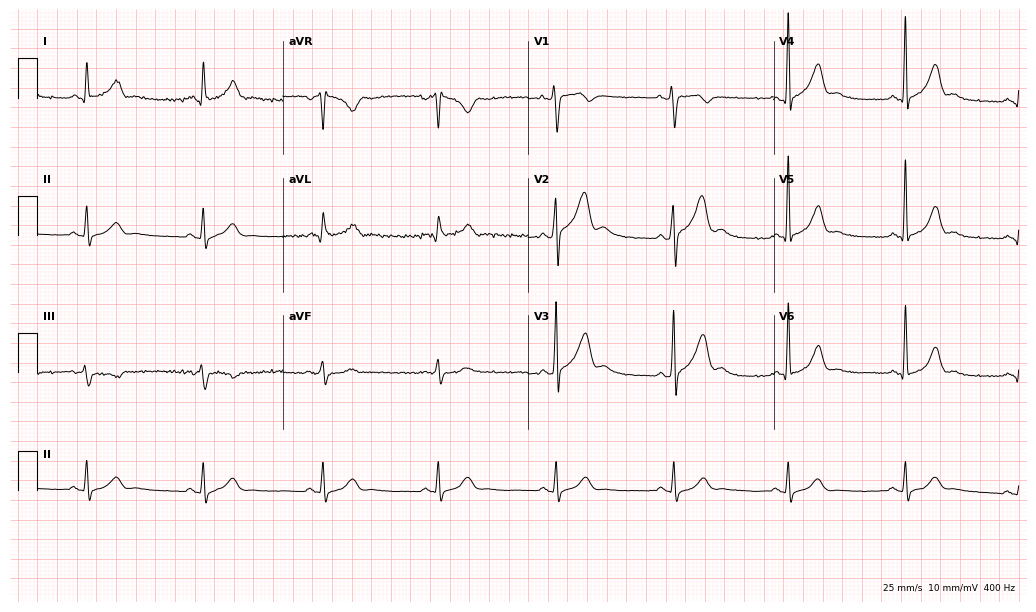
Standard 12-lead ECG recorded from a 43-year-old male. None of these six findings is recorded: first-degree AV block, right bundle branch block, left bundle branch block, sinus bradycardia, atrial fibrillation, sinus tachycardia. Other findings, if any, are not listed.